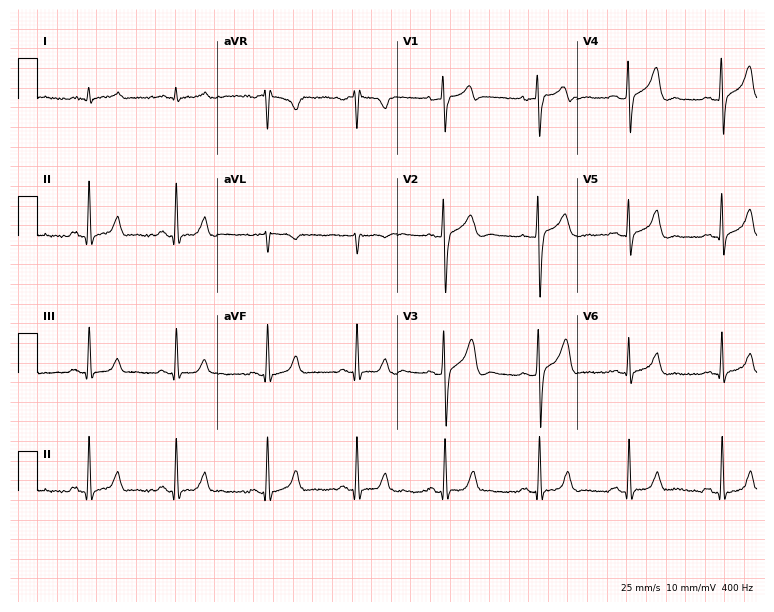
12-lead ECG from a 33-year-old man. No first-degree AV block, right bundle branch block, left bundle branch block, sinus bradycardia, atrial fibrillation or sinus tachycardia recorded for this tracing.